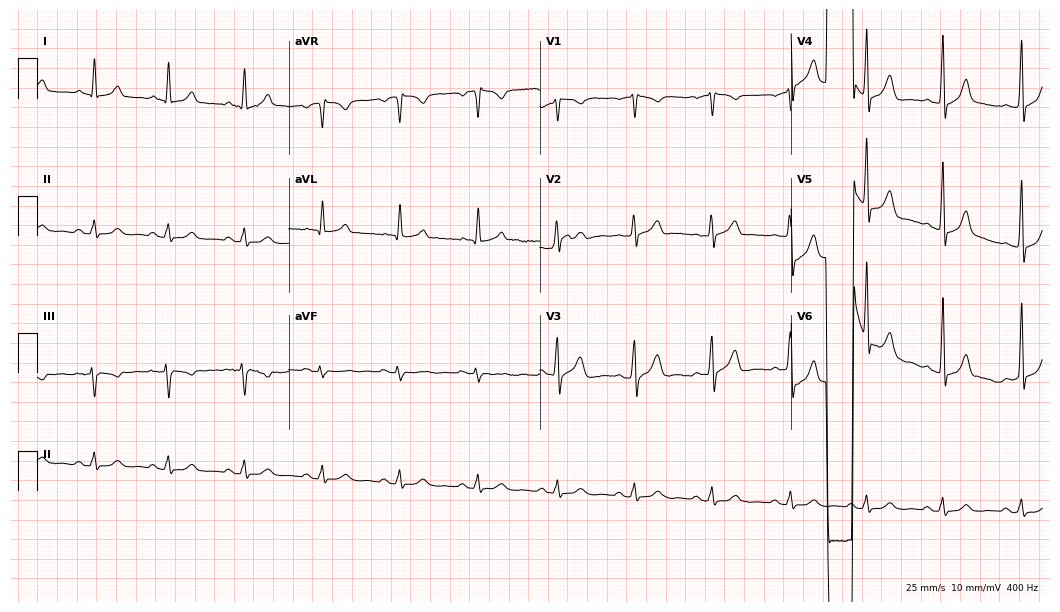
12-lead ECG (10.2-second recording at 400 Hz) from a 48-year-old male. Labelled as a normal ECG.